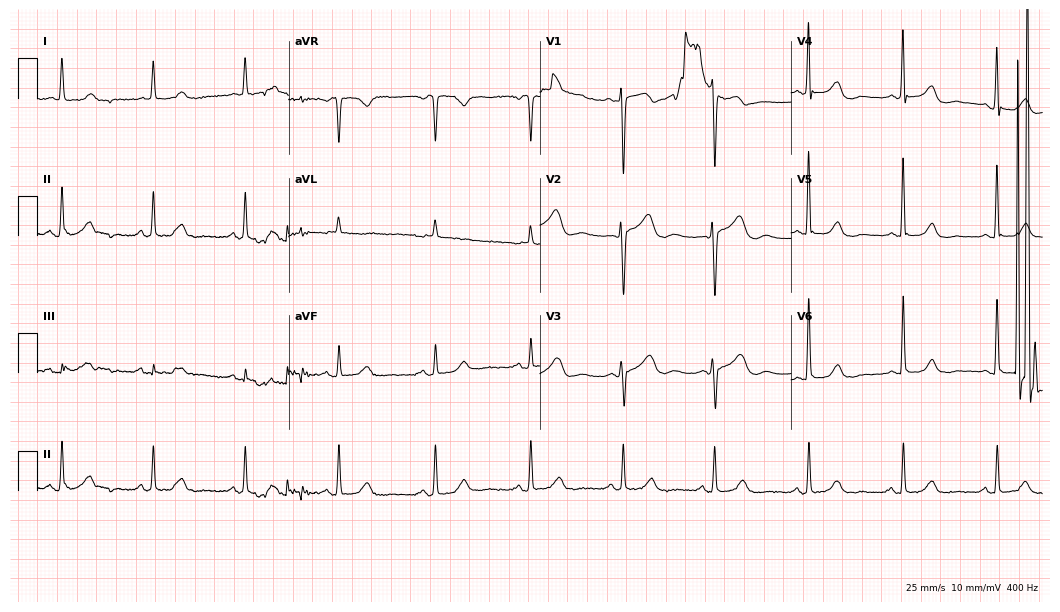
12-lead ECG from a woman, 87 years old. Recorded interpretation: within normal limits.